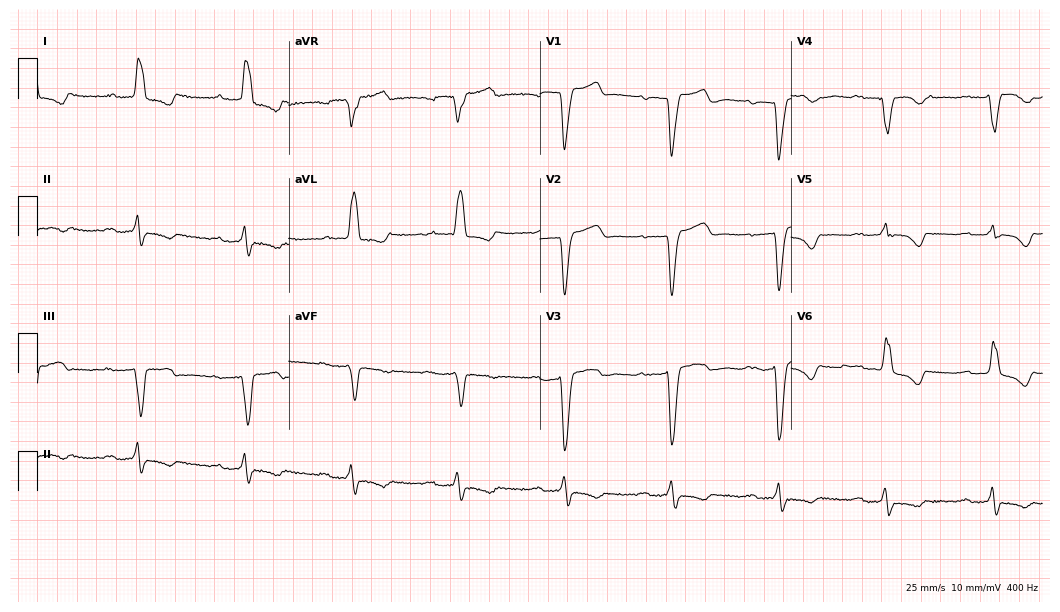
Resting 12-lead electrocardiogram. Patient: a 78-year-old female. None of these six findings is recorded: first-degree AV block, right bundle branch block, left bundle branch block, sinus bradycardia, atrial fibrillation, sinus tachycardia.